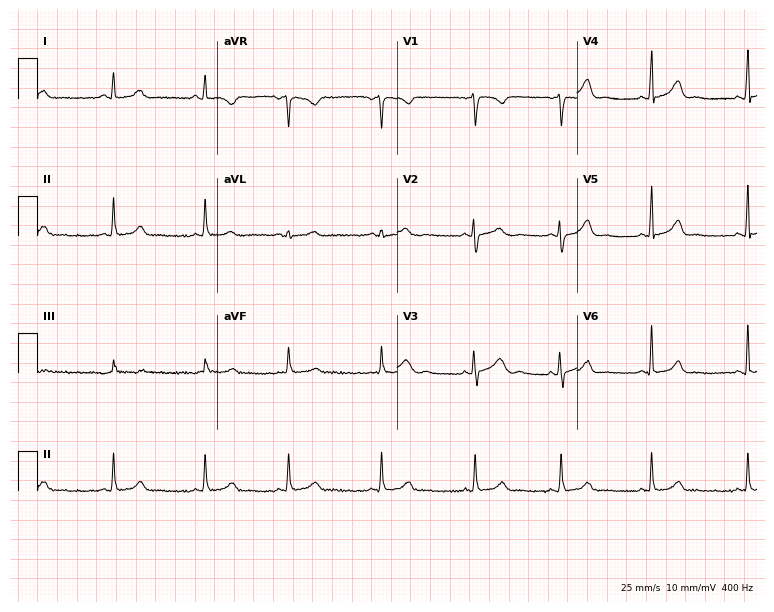
Standard 12-lead ECG recorded from a female, 21 years old (7.3-second recording at 400 Hz). Read as a normal ECG.